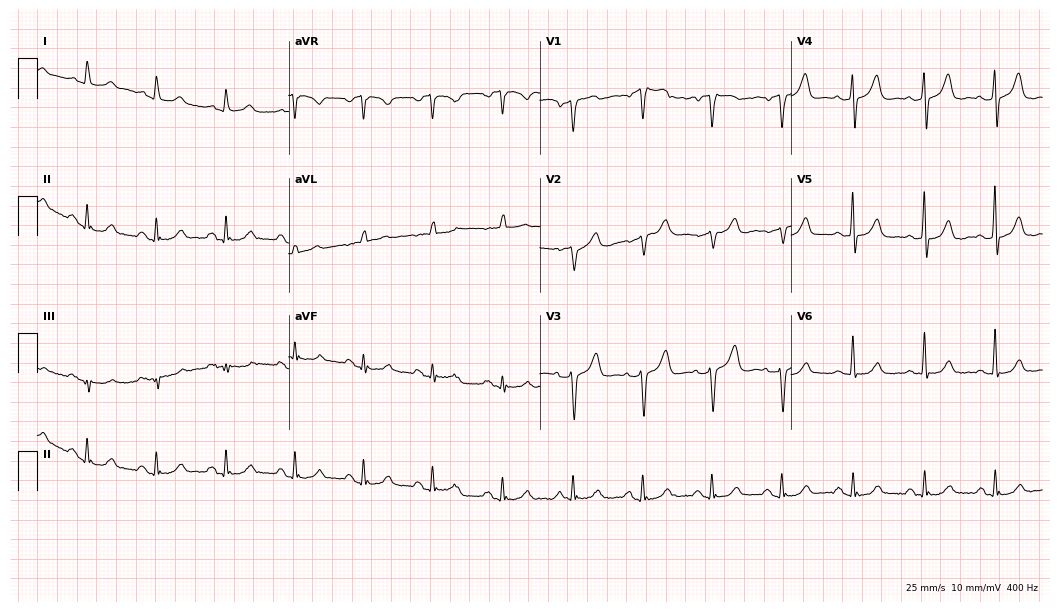
12-lead ECG (10.2-second recording at 400 Hz) from a 67-year-old female. Labelled as a normal ECG.